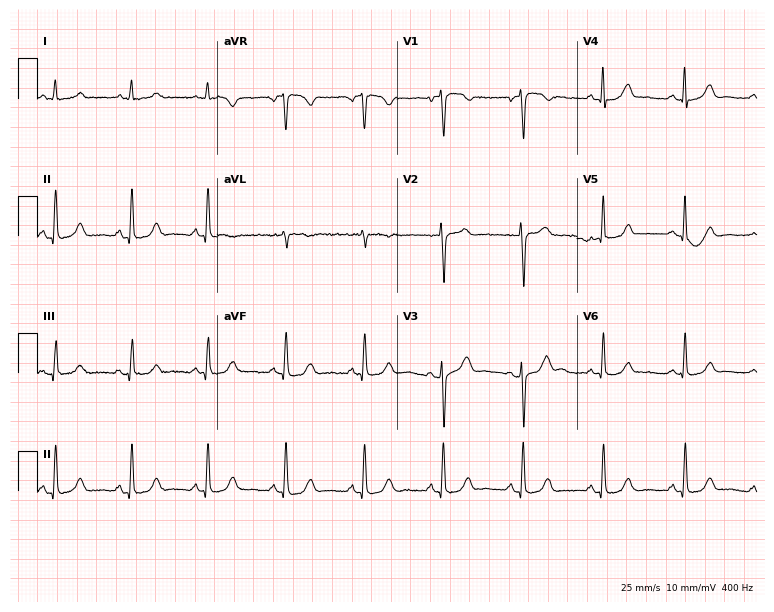
Standard 12-lead ECG recorded from a female patient, 71 years old (7.3-second recording at 400 Hz). Read as a normal ECG.